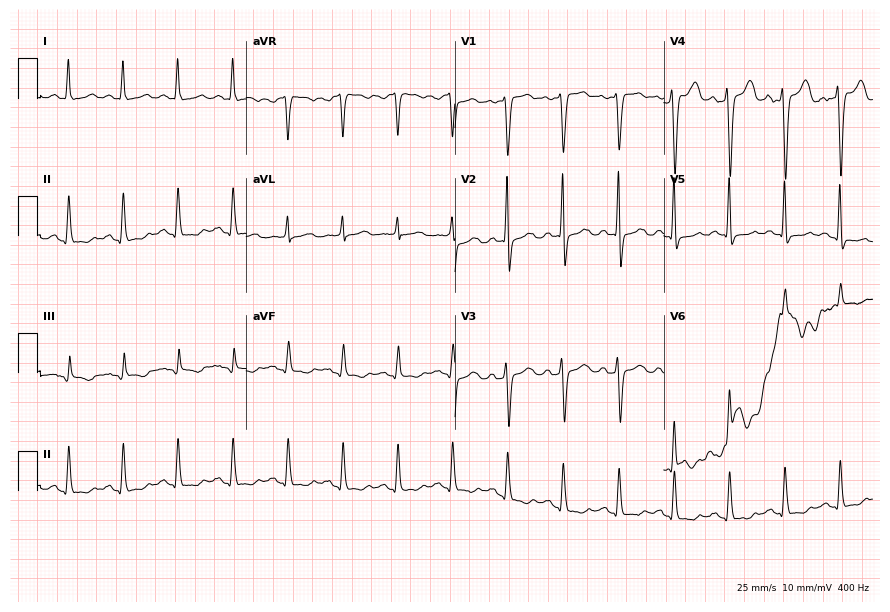
12-lead ECG from a woman, 36 years old. No first-degree AV block, right bundle branch block (RBBB), left bundle branch block (LBBB), sinus bradycardia, atrial fibrillation (AF) or sinus tachycardia recorded for this tracing. Findings outside these six are not listed.